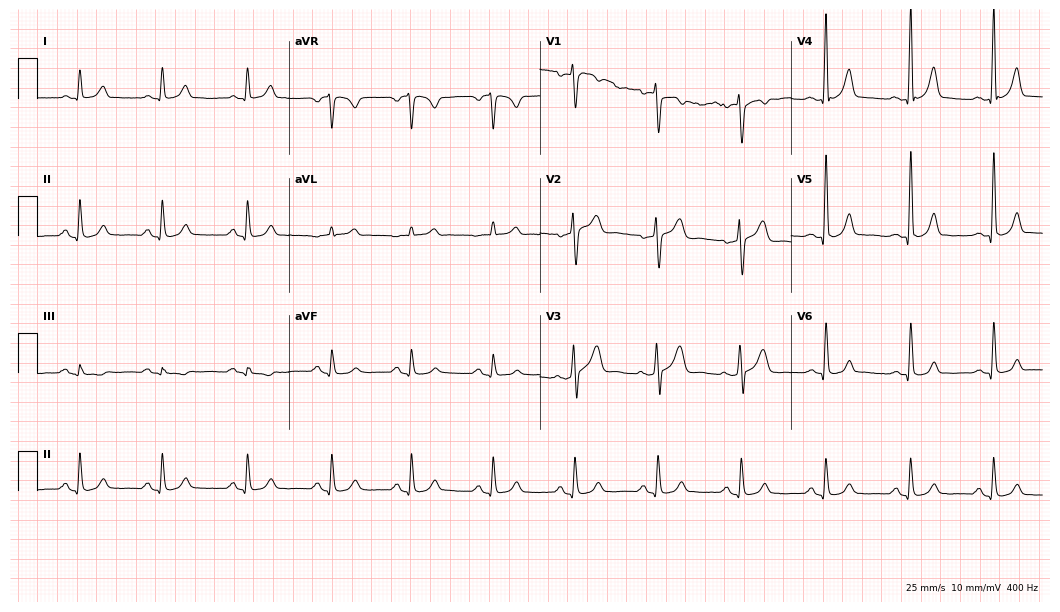
ECG (10.2-second recording at 400 Hz) — a male, 37 years old. Labelled as a normal ECG.